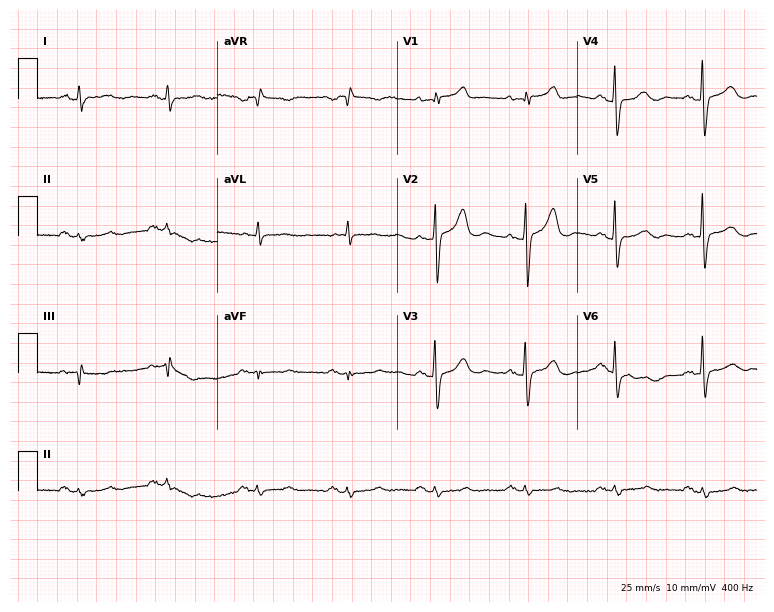
Electrocardiogram, an 84-year-old male. Of the six screened findings (first-degree AV block, right bundle branch block, left bundle branch block, sinus bradycardia, atrial fibrillation, sinus tachycardia), none is recorded.